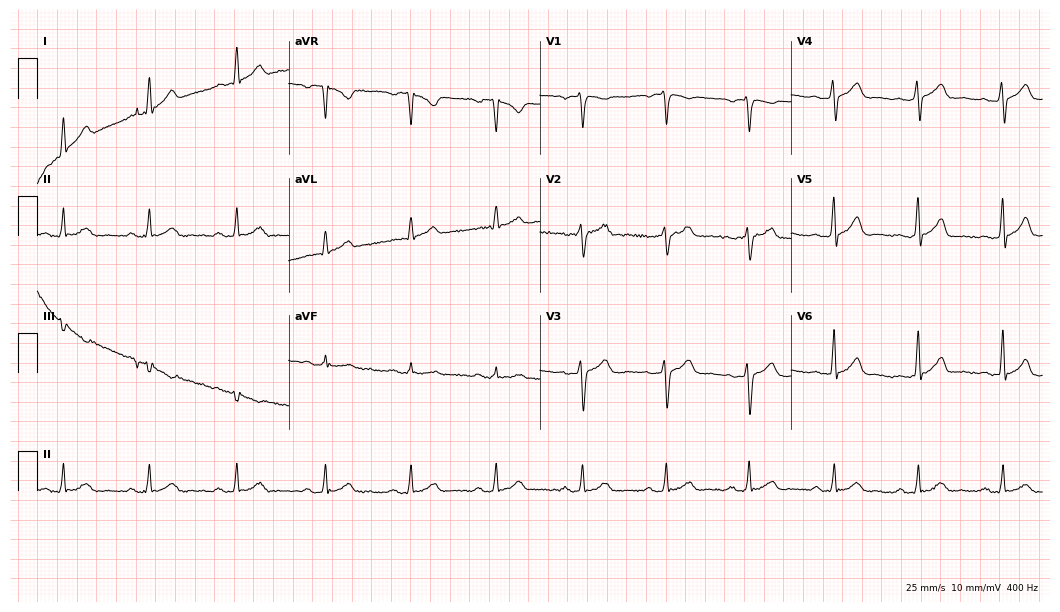
Standard 12-lead ECG recorded from a 34-year-old male. Read as a normal ECG.